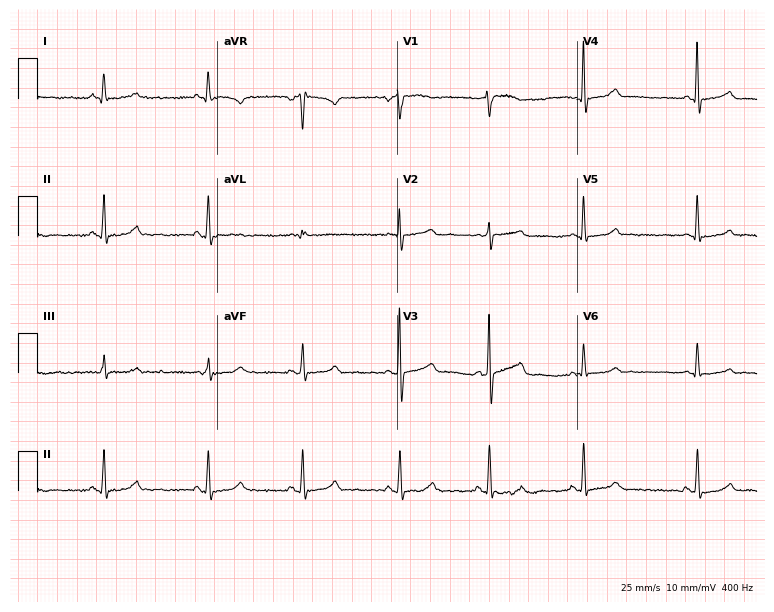
ECG — a 53-year-old woman. Labelled as a normal ECG.